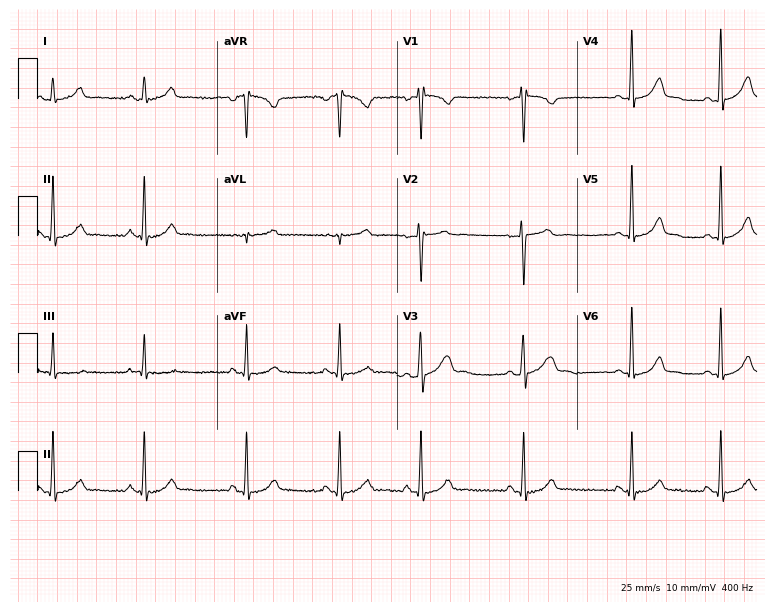
Standard 12-lead ECG recorded from a female patient, 23 years old (7.3-second recording at 400 Hz). None of these six findings is recorded: first-degree AV block, right bundle branch block, left bundle branch block, sinus bradycardia, atrial fibrillation, sinus tachycardia. Only these six findings were labelled.